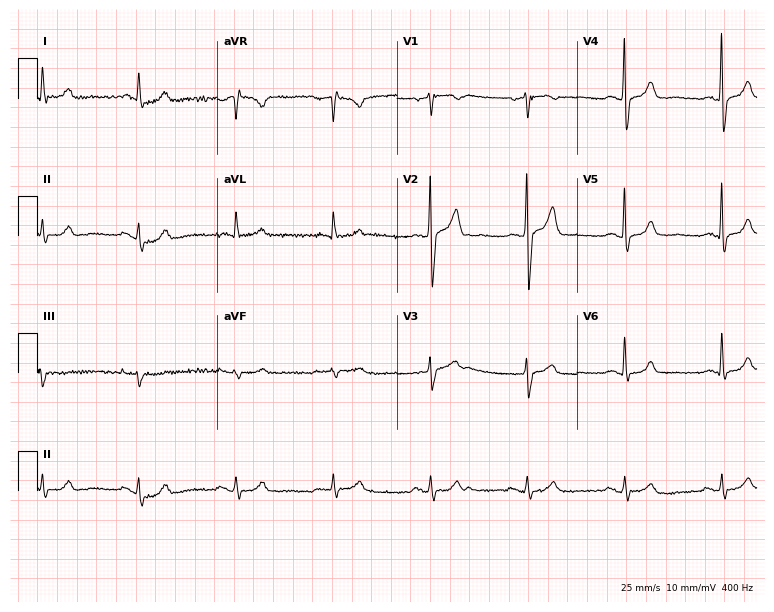
ECG (7.3-second recording at 400 Hz) — an 81-year-old male patient. Screened for six findings — first-degree AV block, right bundle branch block (RBBB), left bundle branch block (LBBB), sinus bradycardia, atrial fibrillation (AF), sinus tachycardia — none is recorded.